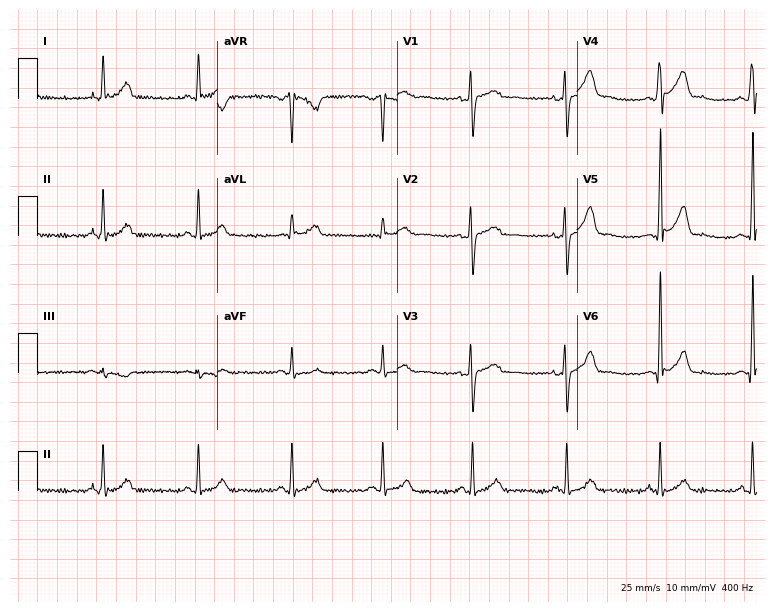
12-lead ECG (7.3-second recording at 400 Hz) from a male, 42 years old. Labelled as a normal ECG.